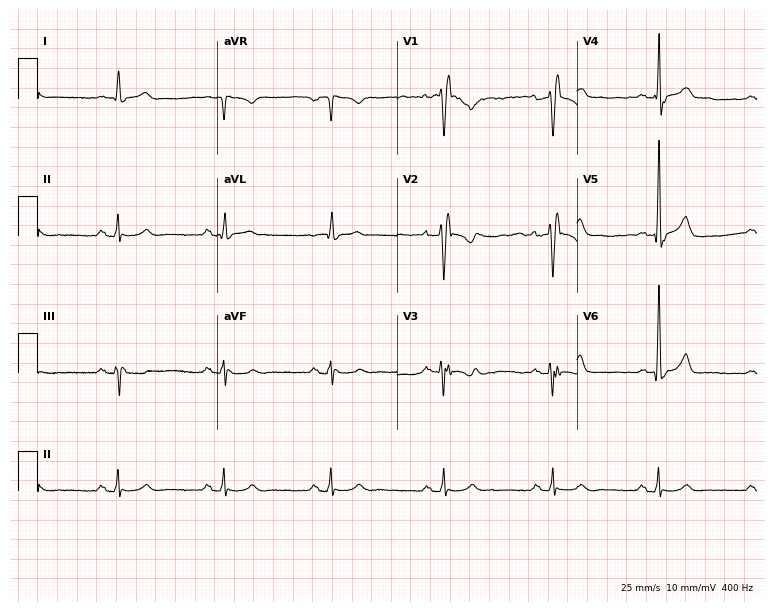
12-lead ECG from a man, 40 years old. Findings include right bundle branch block.